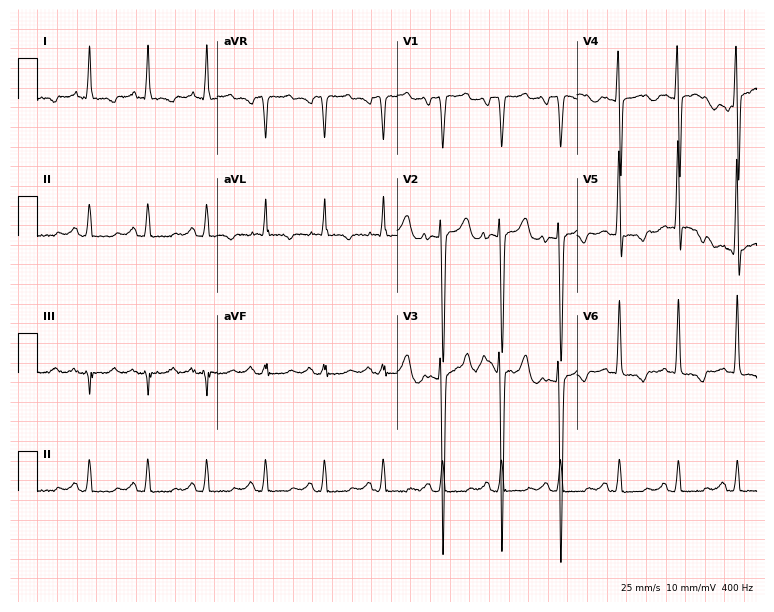
Electrocardiogram, a 63-year-old male. Of the six screened findings (first-degree AV block, right bundle branch block, left bundle branch block, sinus bradycardia, atrial fibrillation, sinus tachycardia), none is recorded. Only these six findings were labelled.